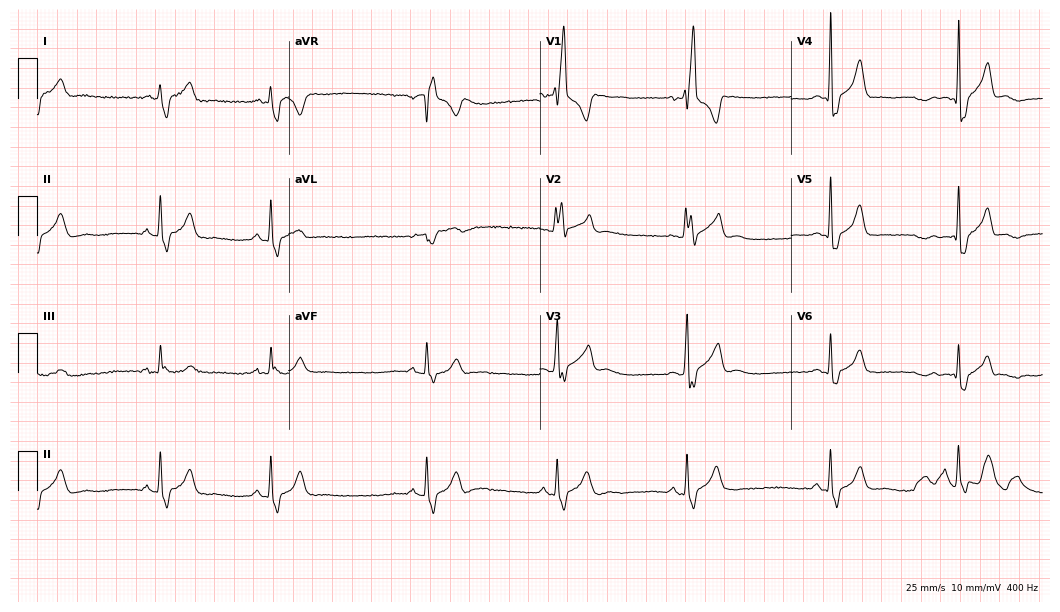
ECG (10.2-second recording at 400 Hz) — a 21-year-old male patient. Findings include right bundle branch block, sinus bradycardia (a sinus rate of 50 beats per minute or less).